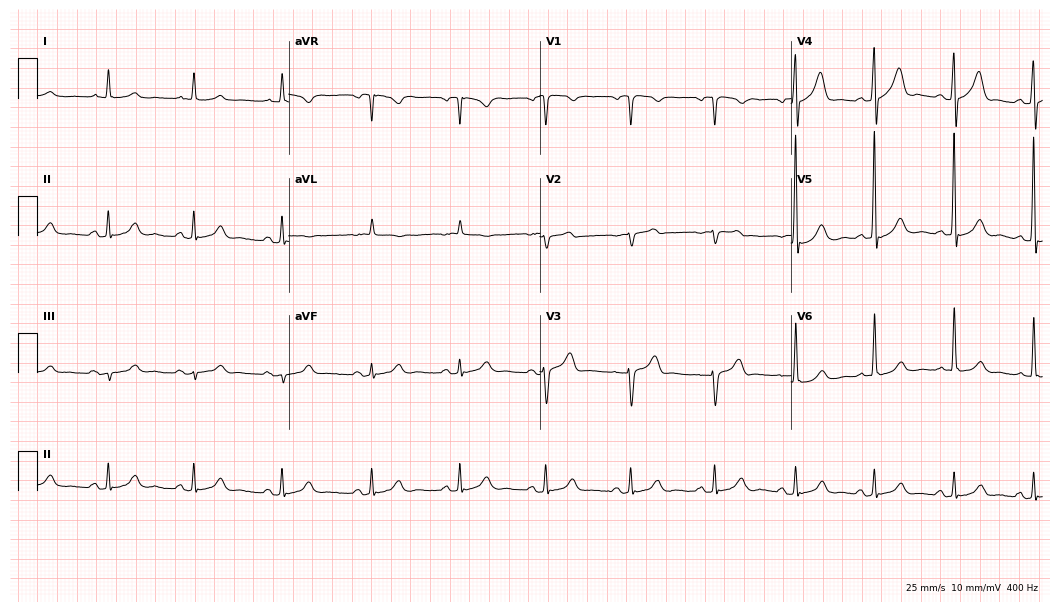
ECG (10.2-second recording at 400 Hz) — a 69-year-old male. Labelled as a normal ECG.